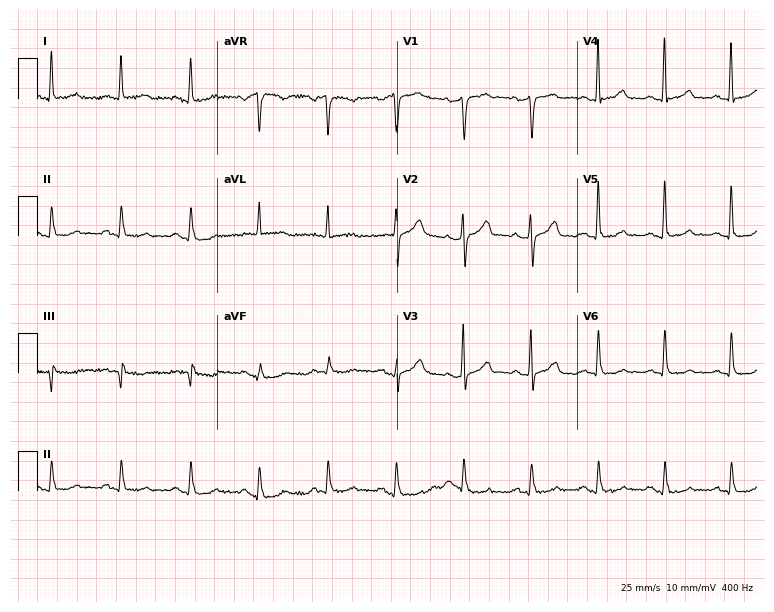
Standard 12-lead ECG recorded from a man, 52 years old. Read as a normal ECG.